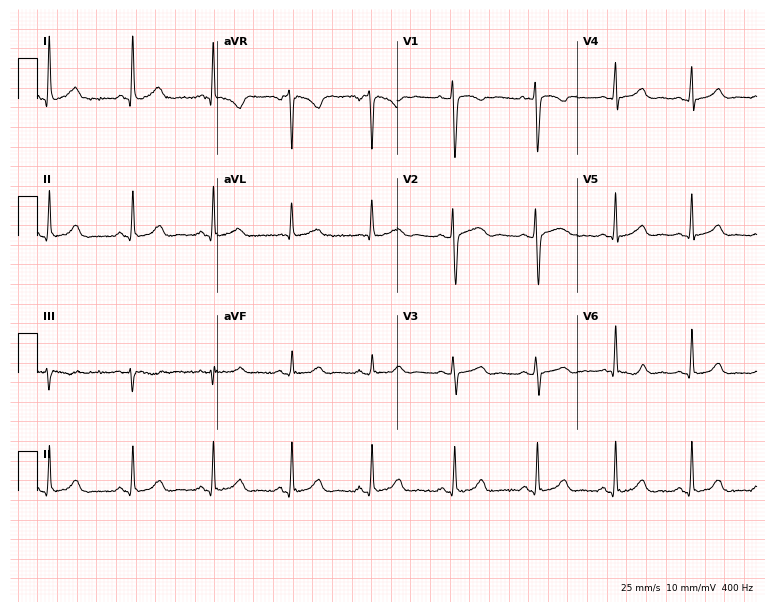
12-lead ECG from a 33-year-old female patient. Recorded interpretation: within normal limits.